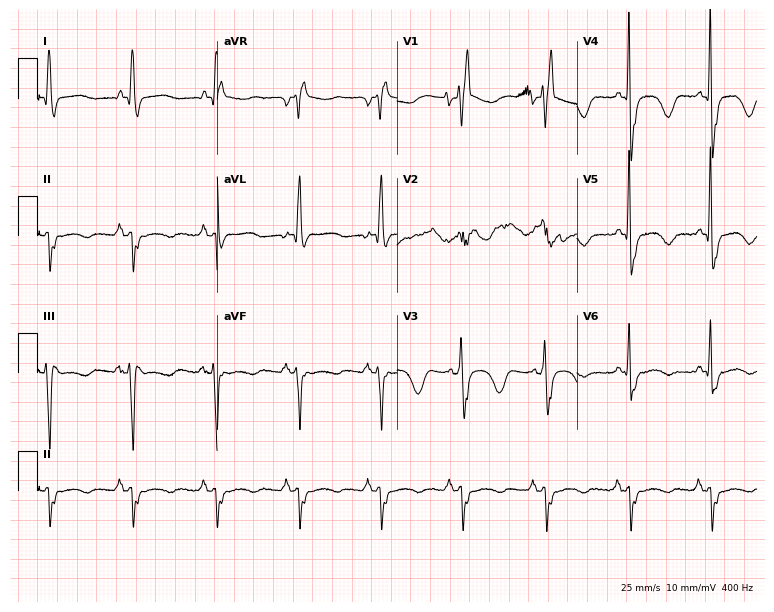
Electrocardiogram (7.3-second recording at 400 Hz), a male, 57 years old. Interpretation includes right bundle branch block.